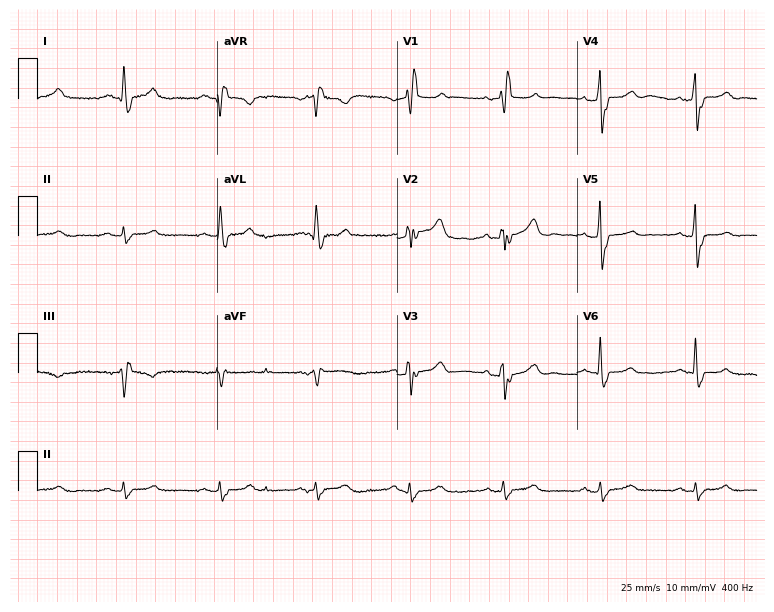
Standard 12-lead ECG recorded from a male patient, 69 years old (7.3-second recording at 400 Hz). The tracing shows right bundle branch block.